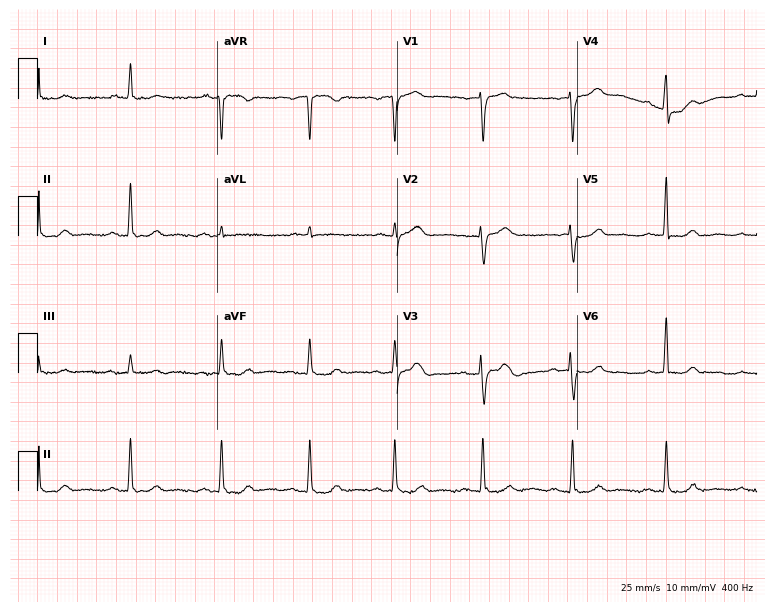
ECG (7.3-second recording at 400 Hz) — a female patient, 61 years old. Labelled as a normal ECG.